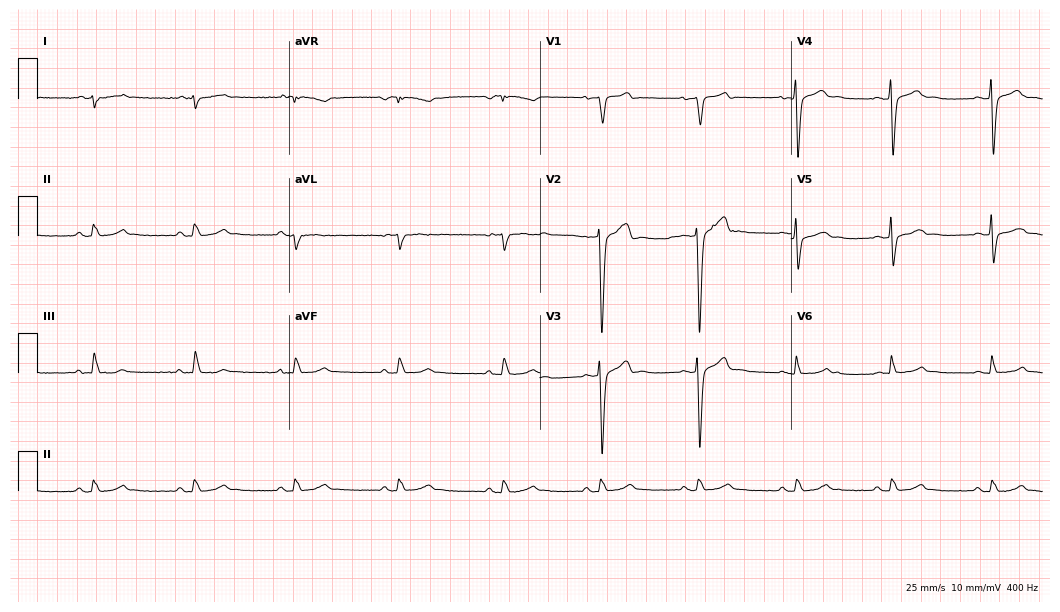
Electrocardiogram (10.2-second recording at 400 Hz), a 46-year-old man. Of the six screened findings (first-degree AV block, right bundle branch block (RBBB), left bundle branch block (LBBB), sinus bradycardia, atrial fibrillation (AF), sinus tachycardia), none is recorded. Only these six findings were labelled.